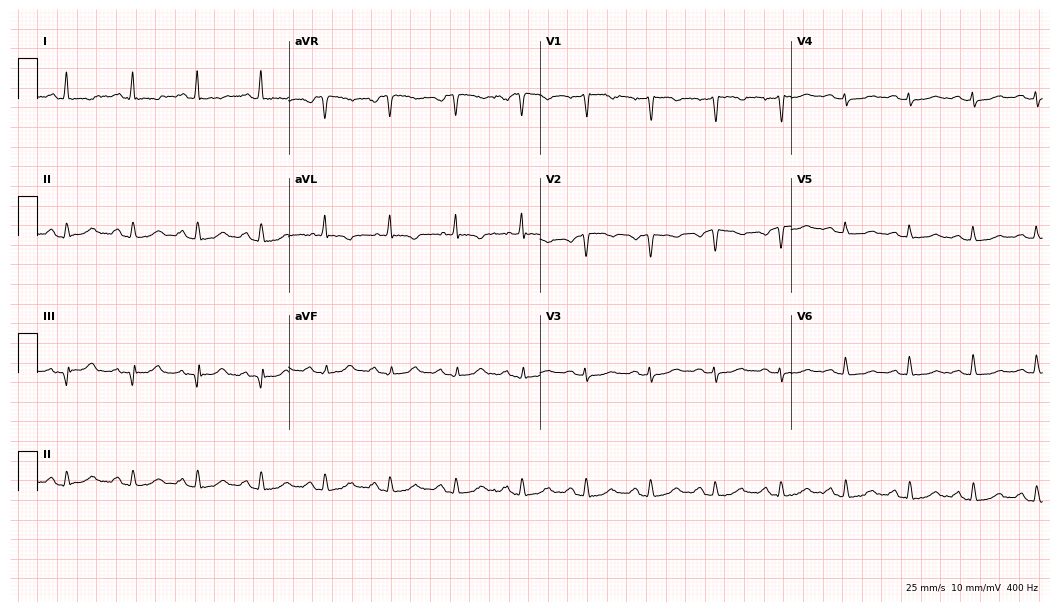
Standard 12-lead ECG recorded from a 49-year-old woman. Read as a normal ECG.